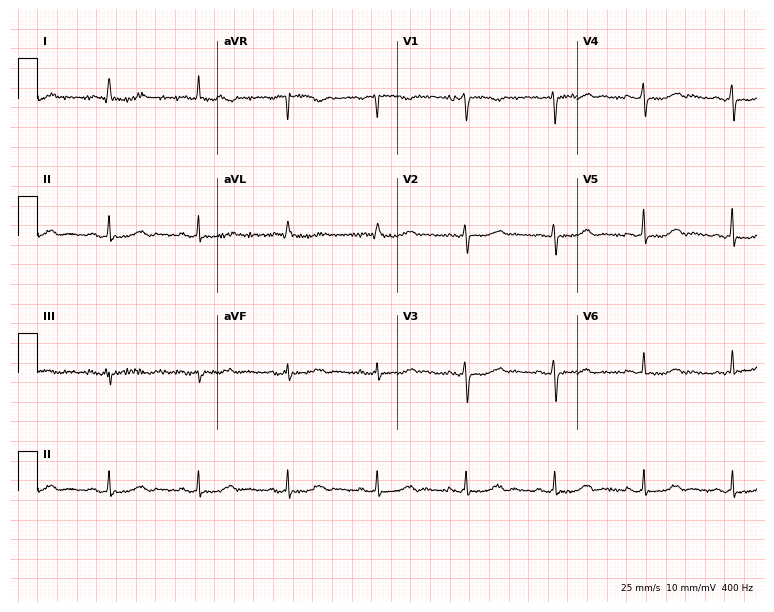
ECG — a female patient, 61 years old. Screened for six findings — first-degree AV block, right bundle branch block, left bundle branch block, sinus bradycardia, atrial fibrillation, sinus tachycardia — none is recorded. Only these six findings were labelled.